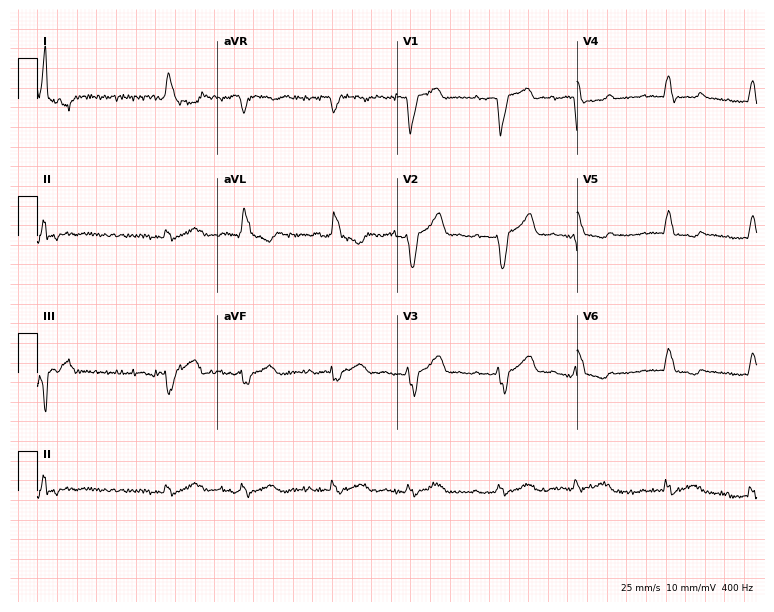
12-lead ECG (7.3-second recording at 400 Hz) from a 63-year-old male patient. Findings include left bundle branch block, atrial fibrillation.